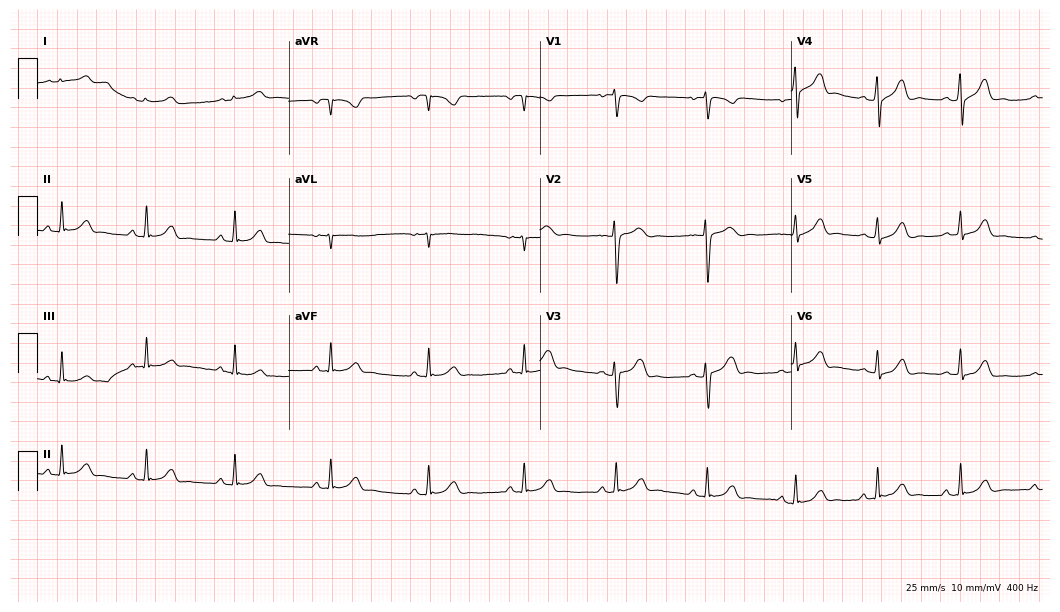
Standard 12-lead ECG recorded from an 18-year-old woman. Read as a normal ECG.